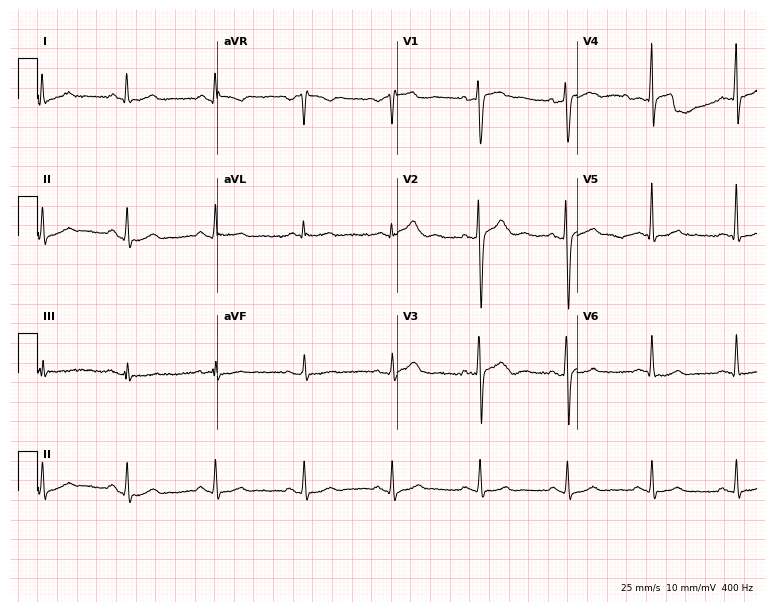
ECG (7.3-second recording at 400 Hz) — a 44-year-old male. Screened for six findings — first-degree AV block, right bundle branch block, left bundle branch block, sinus bradycardia, atrial fibrillation, sinus tachycardia — none is recorded.